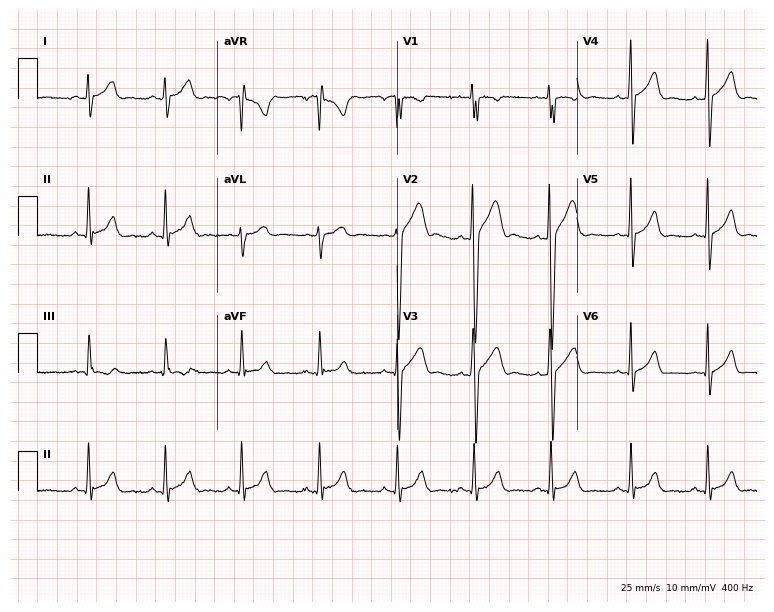
Standard 12-lead ECG recorded from a male, 17 years old. Read as a normal ECG.